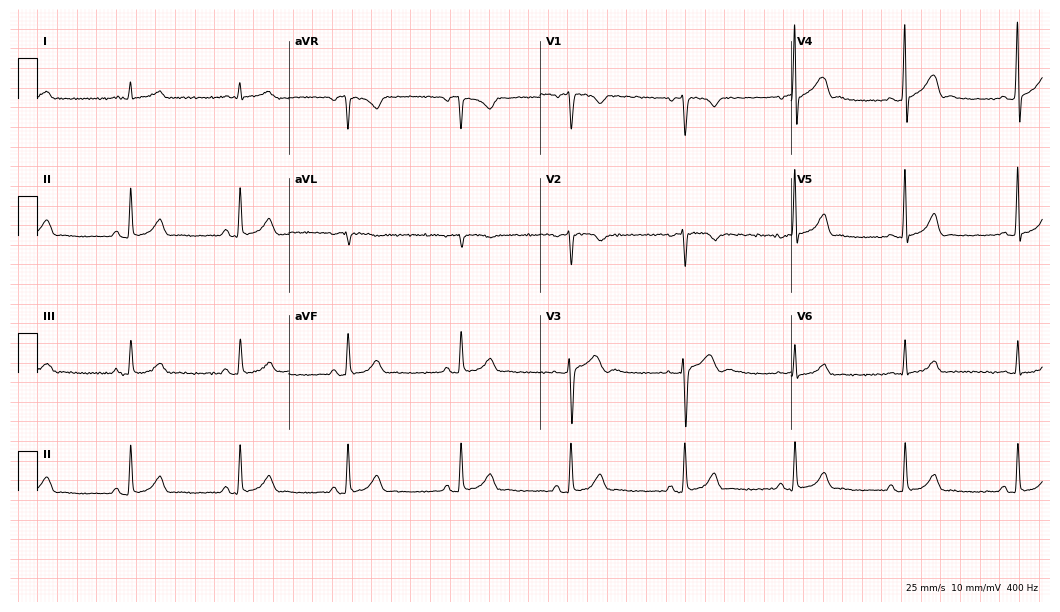
Electrocardiogram, a 33-year-old male. Overall reading on record: normal ECG.